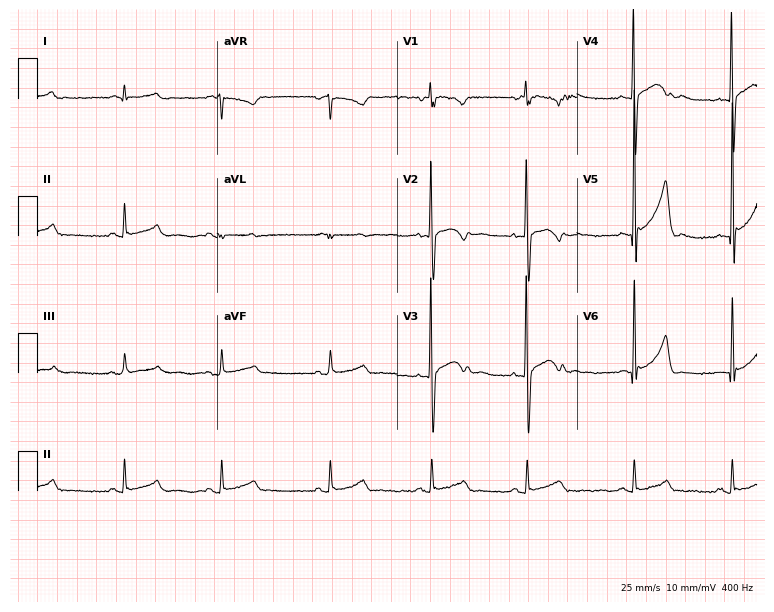
Standard 12-lead ECG recorded from a 57-year-old male (7.3-second recording at 400 Hz). None of these six findings is recorded: first-degree AV block, right bundle branch block, left bundle branch block, sinus bradycardia, atrial fibrillation, sinus tachycardia.